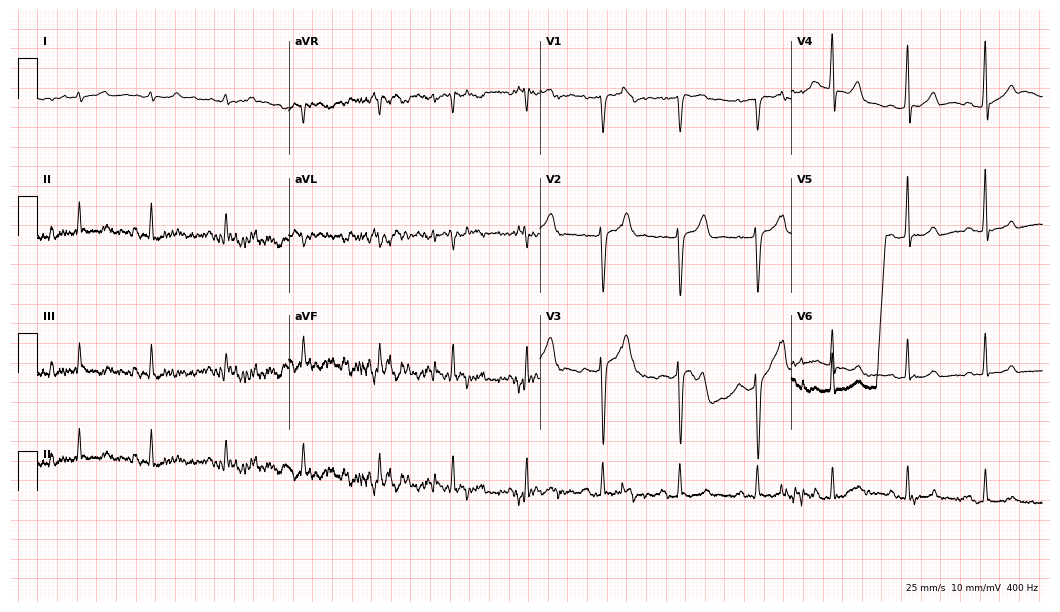
Resting 12-lead electrocardiogram. Patient: a male, 54 years old. Read as a normal ECG.